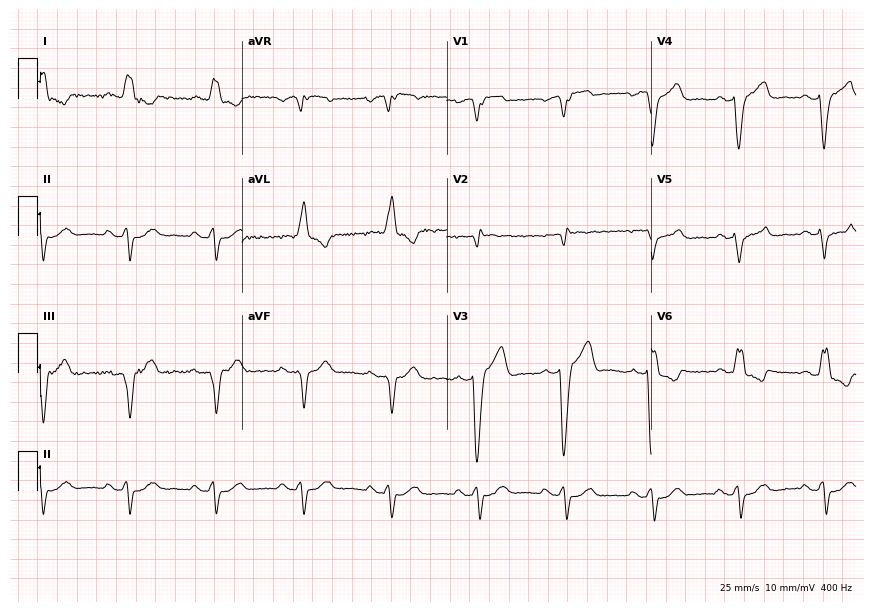
ECG (8.3-second recording at 400 Hz) — an 80-year-old male. Findings include left bundle branch block.